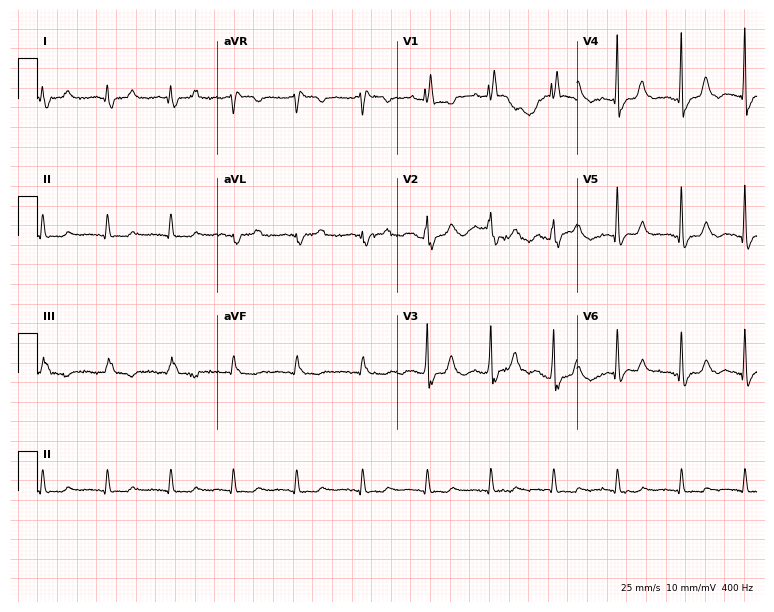
ECG (7.3-second recording at 400 Hz) — a 69-year-old female patient. Findings include right bundle branch block (RBBB).